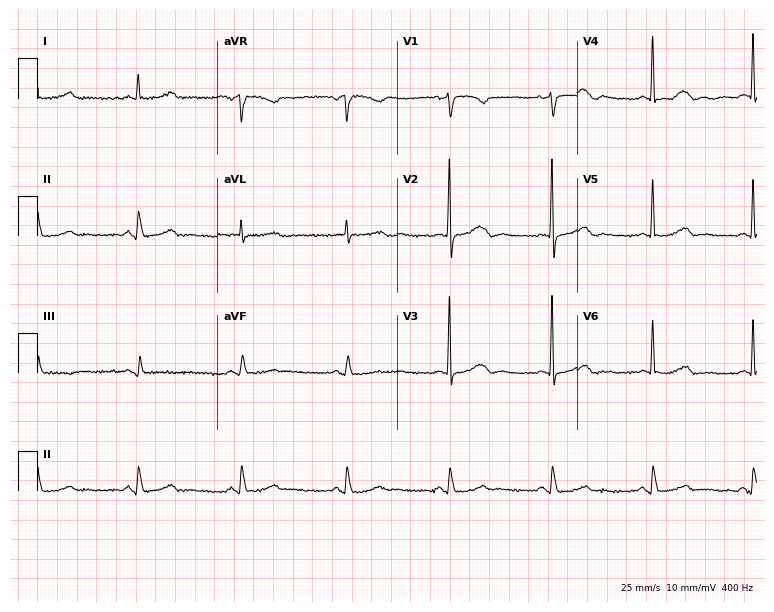
12-lead ECG from a 70-year-old female (7.3-second recording at 400 Hz). No first-degree AV block, right bundle branch block, left bundle branch block, sinus bradycardia, atrial fibrillation or sinus tachycardia recorded for this tracing.